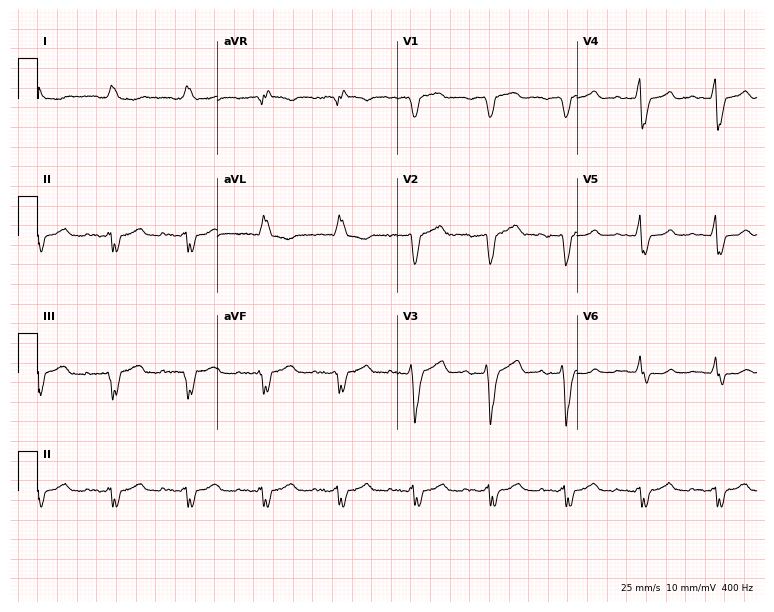
Standard 12-lead ECG recorded from a man, 82 years old (7.3-second recording at 400 Hz). The tracing shows left bundle branch block.